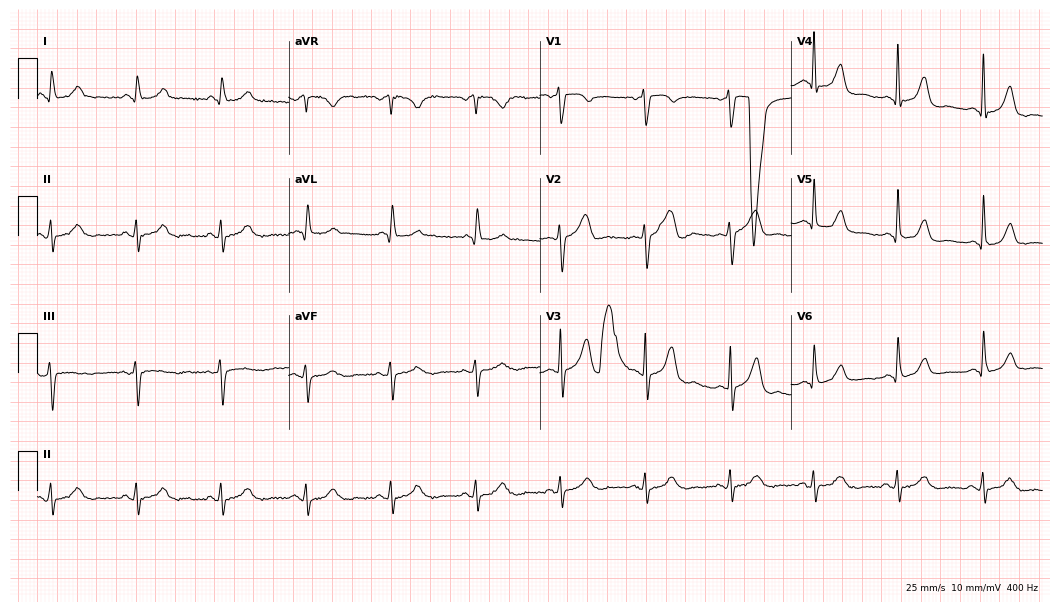
Resting 12-lead electrocardiogram (10.2-second recording at 400 Hz). Patient: a 57-year-old male. None of these six findings is recorded: first-degree AV block, right bundle branch block, left bundle branch block, sinus bradycardia, atrial fibrillation, sinus tachycardia. Other findings, if any, are not listed.